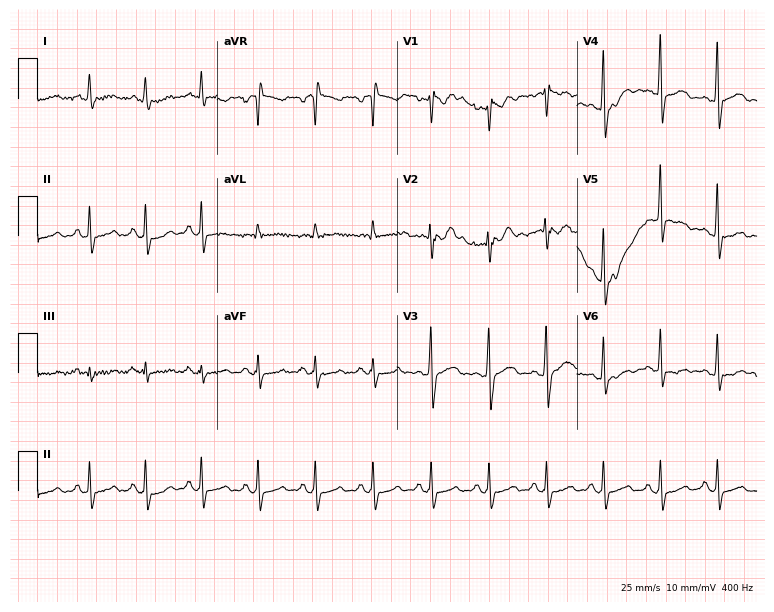
ECG (7.3-second recording at 400 Hz) — a 49-year-old male. Findings include sinus tachycardia (a sinus rate of 100 beats per minute or more).